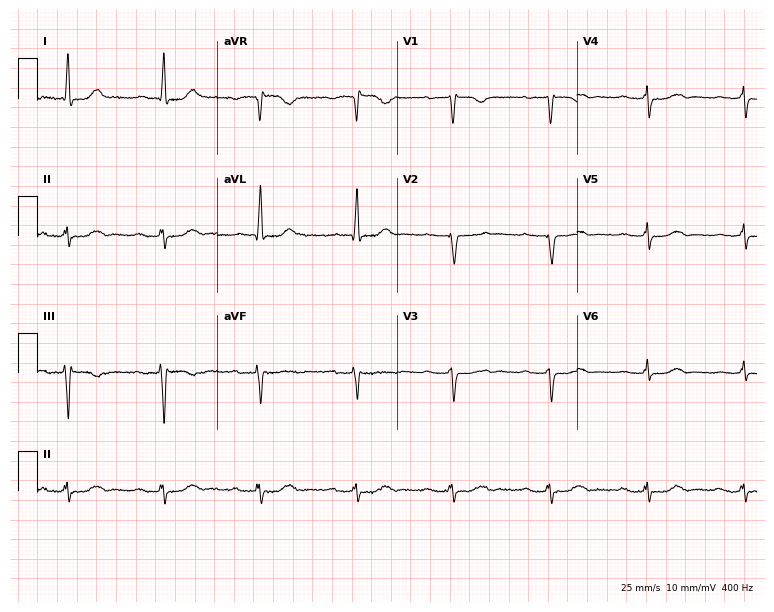
12-lead ECG (7.3-second recording at 400 Hz) from a female, 78 years old. Screened for six findings — first-degree AV block, right bundle branch block, left bundle branch block, sinus bradycardia, atrial fibrillation, sinus tachycardia — none is recorded.